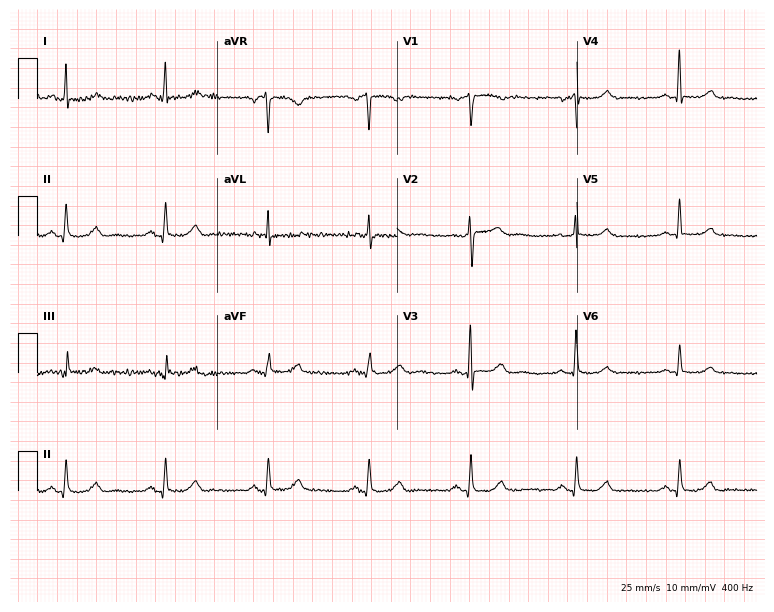
12-lead ECG from a 59-year-old female patient. Labelled as a normal ECG.